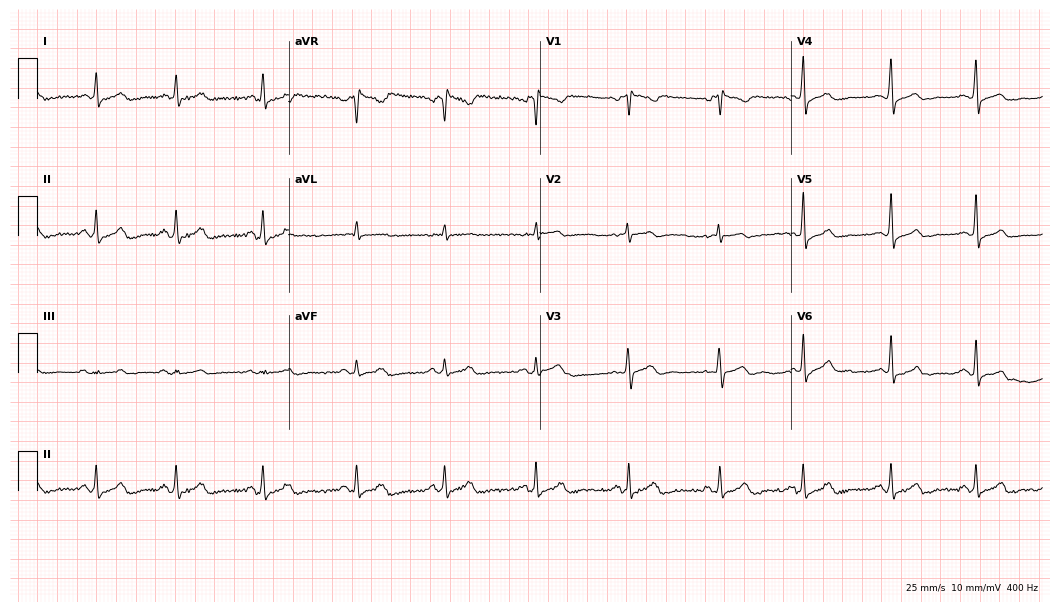
12-lead ECG (10.2-second recording at 400 Hz) from a female patient, 35 years old. Labelled as a normal ECG.